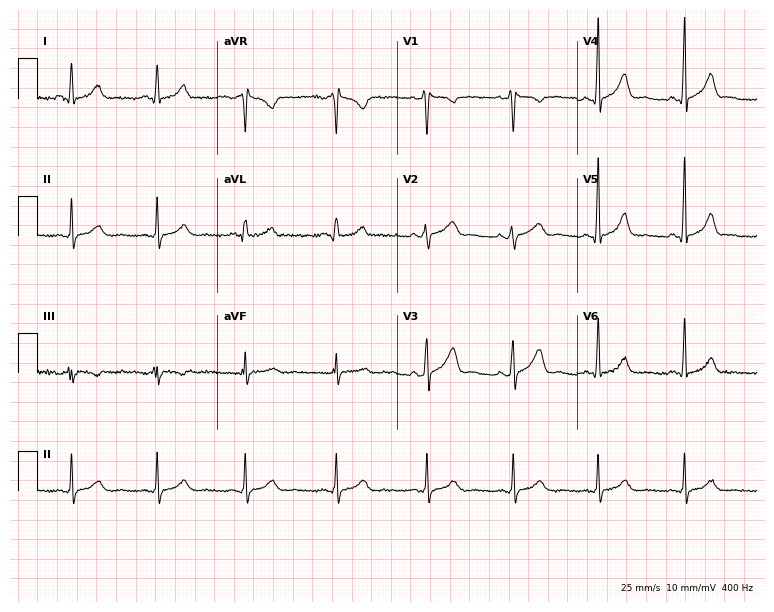
Resting 12-lead electrocardiogram. Patient: a female, 27 years old. None of these six findings is recorded: first-degree AV block, right bundle branch block (RBBB), left bundle branch block (LBBB), sinus bradycardia, atrial fibrillation (AF), sinus tachycardia. Findings outside these six are not listed.